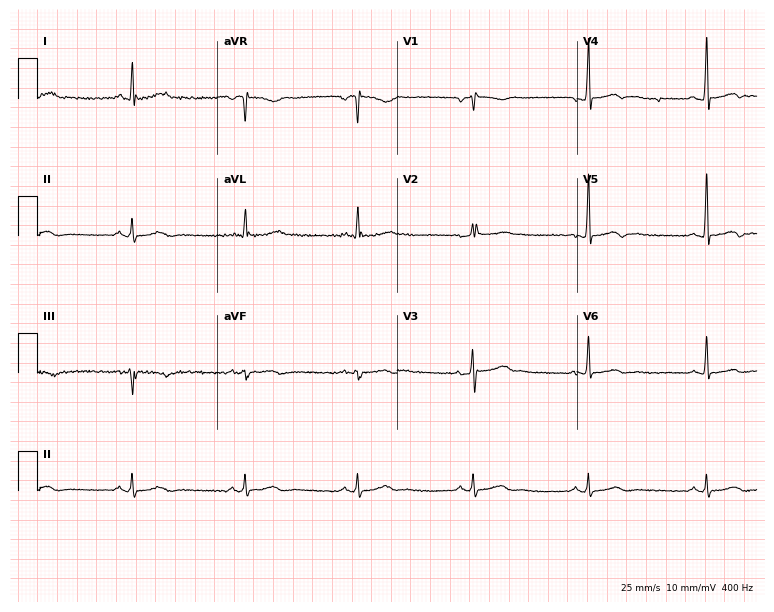
Standard 12-lead ECG recorded from a male, 44 years old (7.3-second recording at 400 Hz). None of these six findings is recorded: first-degree AV block, right bundle branch block, left bundle branch block, sinus bradycardia, atrial fibrillation, sinus tachycardia.